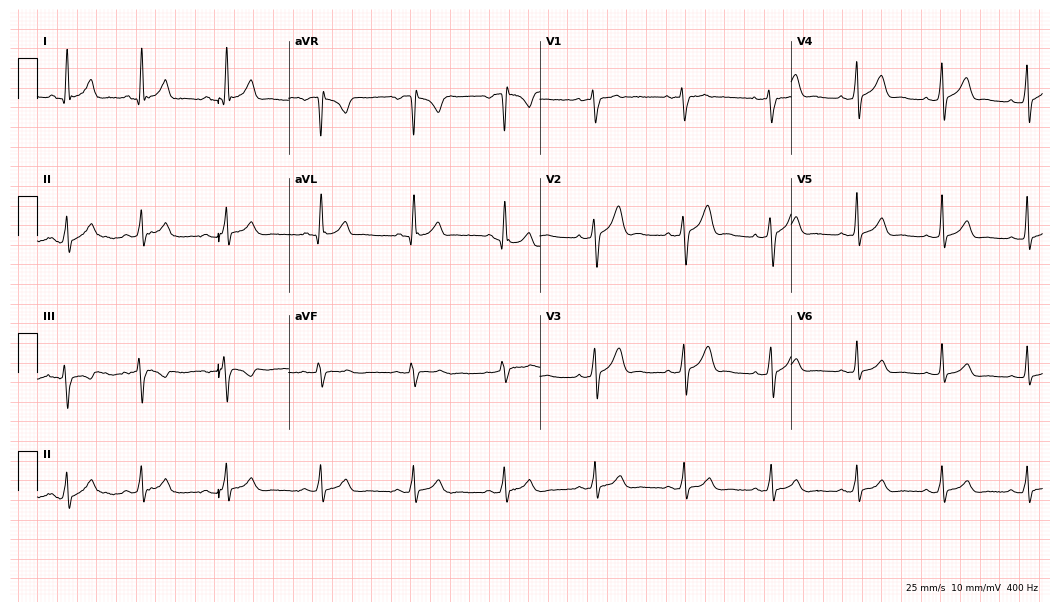
12-lead ECG (10.2-second recording at 400 Hz) from a male patient, 29 years old. Labelled as a normal ECG.